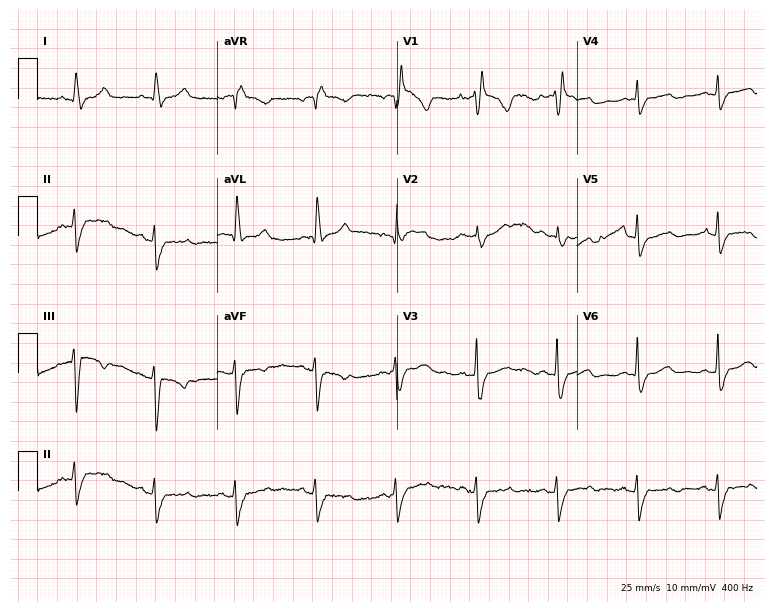
Electrocardiogram (7.3-second recording at 400 Hz), a female patient, 57 years old. Interpretation includes right bundle branch block.